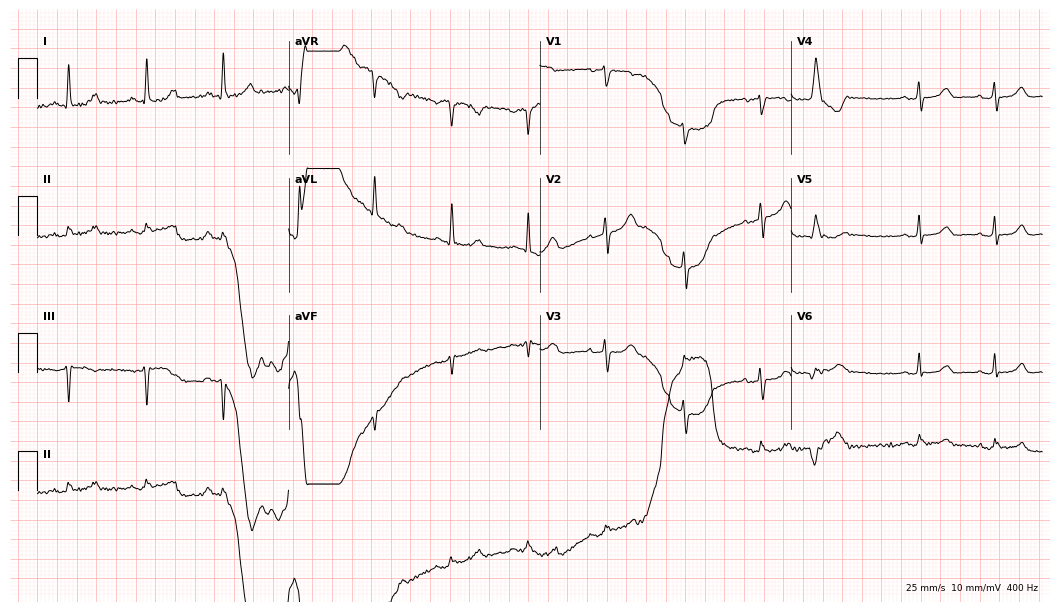
12-lead ECG from a female patient, 71 years old. No first-degree AV block, right bundle branch block (RBBB), left bundle branch block (LBBB), sinus bradycardia, atrial fibrillation (AF) or sinus tachycardia recorded for this tracing. Other findings, if any, are not listed.